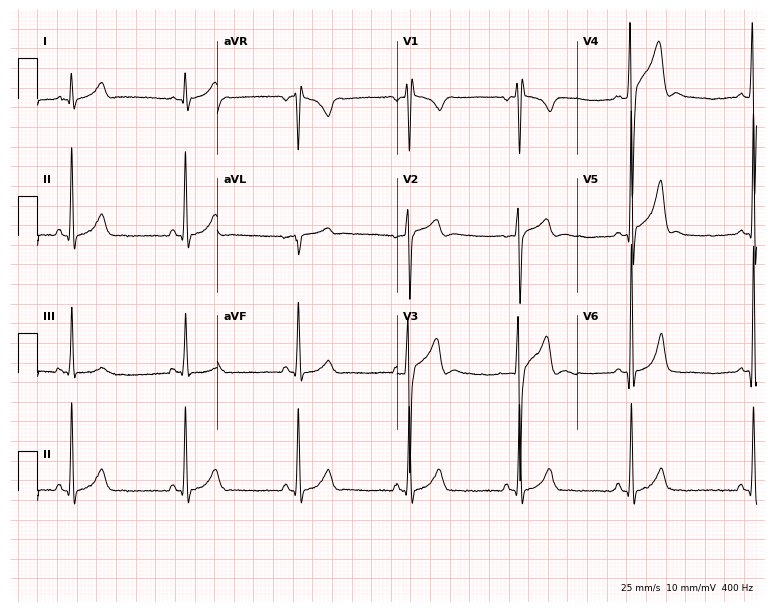
ECG — a 19-year-old male. Screened for six findings — first-degree AV block, right bundle branch block, left bundle branch block, sinus bradycardia, atrial fibrillation, sinus tachycardia — none is recorded.